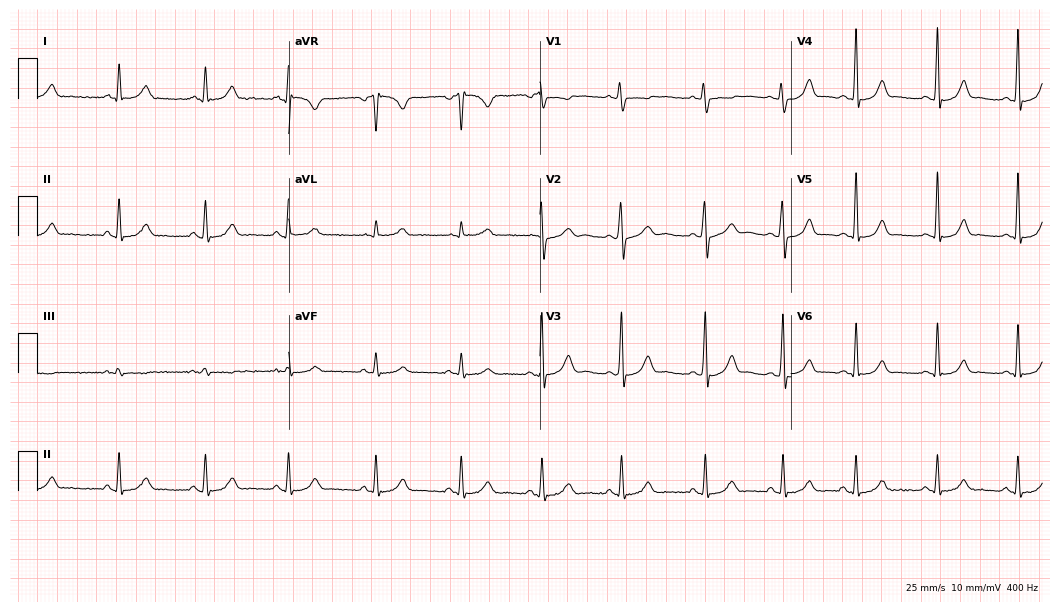
12-lead ECG from a female patient, 37 years old. Labelled as a normal ECG.